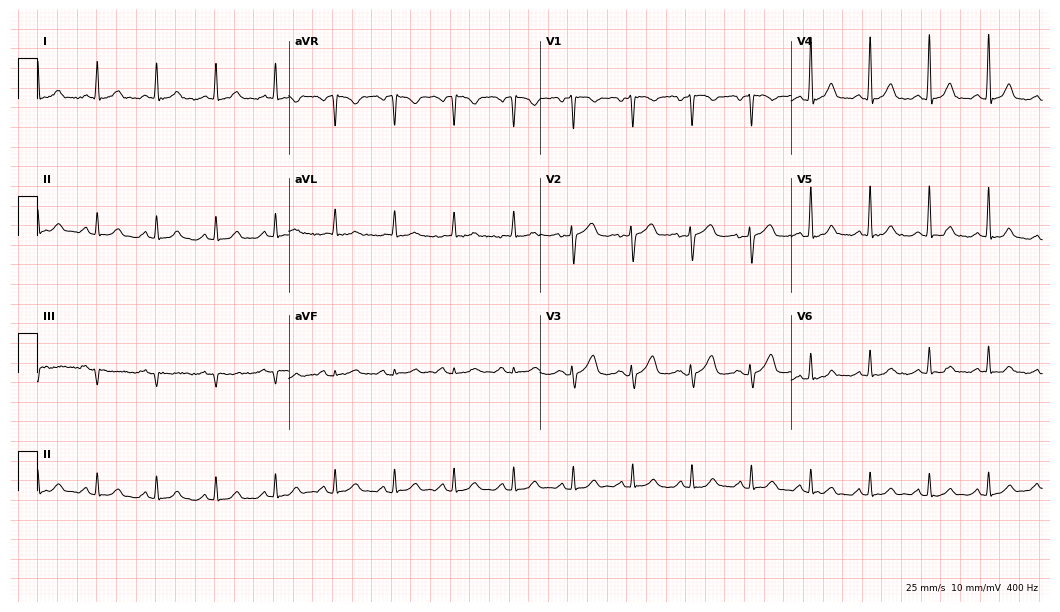
12-lead ECG from a 60-year-old woman. Labelled as a normal ECG.